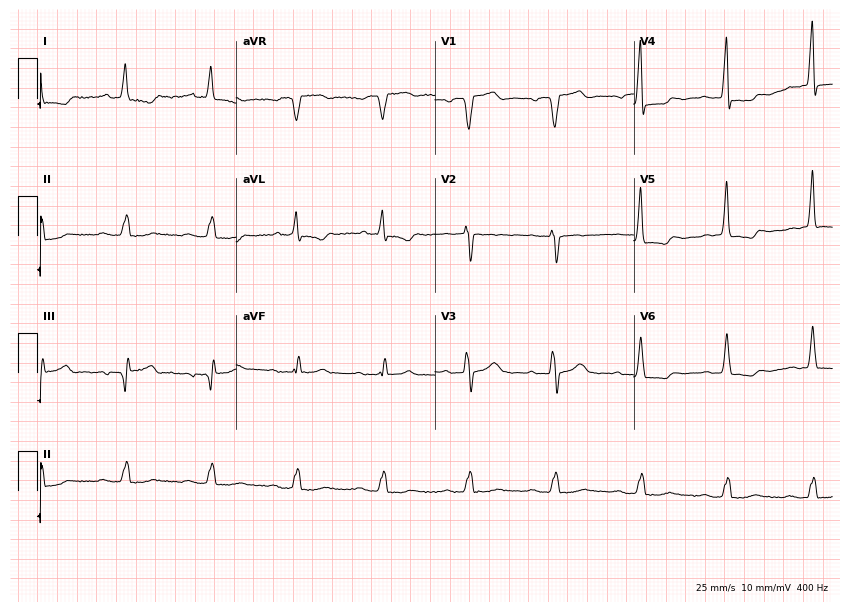
Standard 12-lead ECG recorded from a 65-year-old male. None of these six findings is recorded: first-degree AV block, right bundle branch block (RBBB), left bundle branch block (LBBB), sinus bradycardia, atrial fibrillation (AF), sinus tachycardia. Other findings, if any, are not listed.